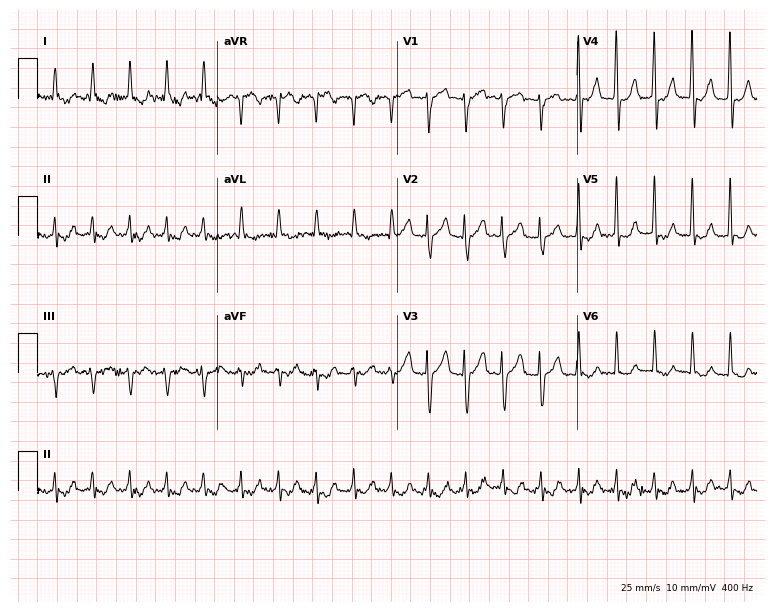
ECG — a man, 77 years old. Screened for six findings — first-degree AV block, right bundle branch block, left bundle branch block, sinus bradycardia, atrial fibrillation, sinus tachycardia — none is recorded.